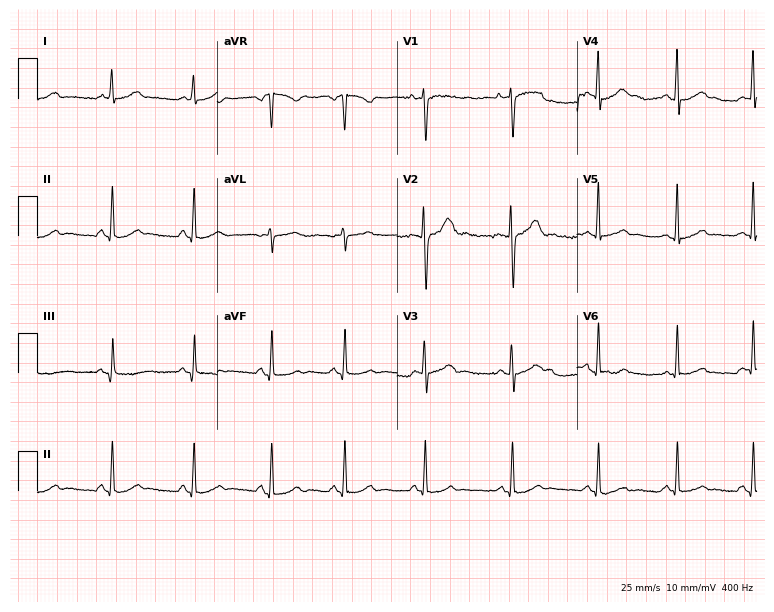
12-lead ECG from a female patient, 29 years old. Labelled as a normal ECG.